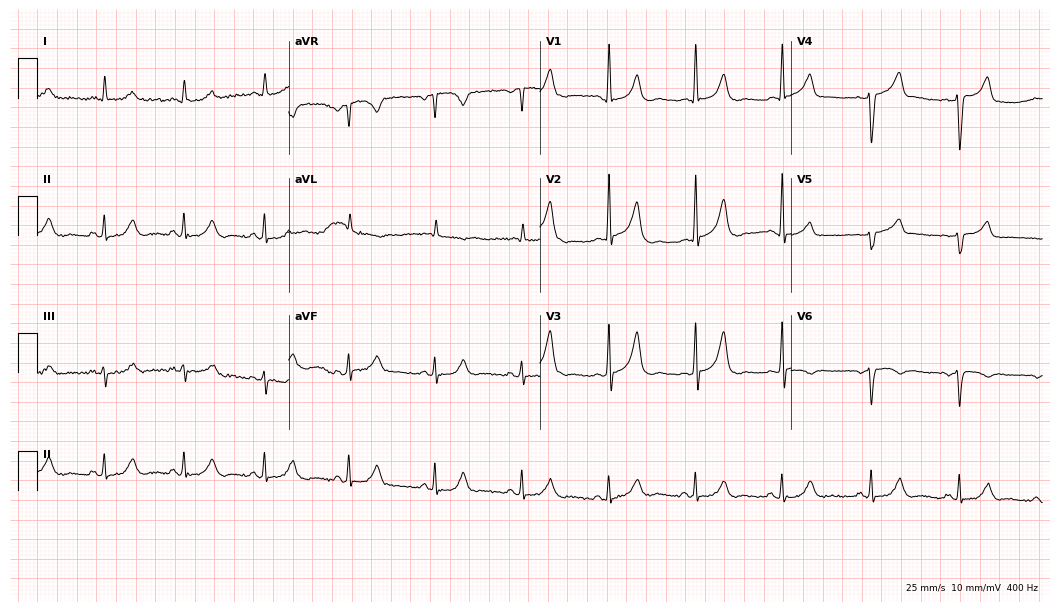
12-lead ECG from a male patient, 81 years old. No first-degree AV block, right bundle branch block (RBBB), left bundle branch block (LBBB), sinus bradycardia, atrial fibrillation (AF) or sinus tachycardia recorded for this tracing. Only these six findings were labelled.